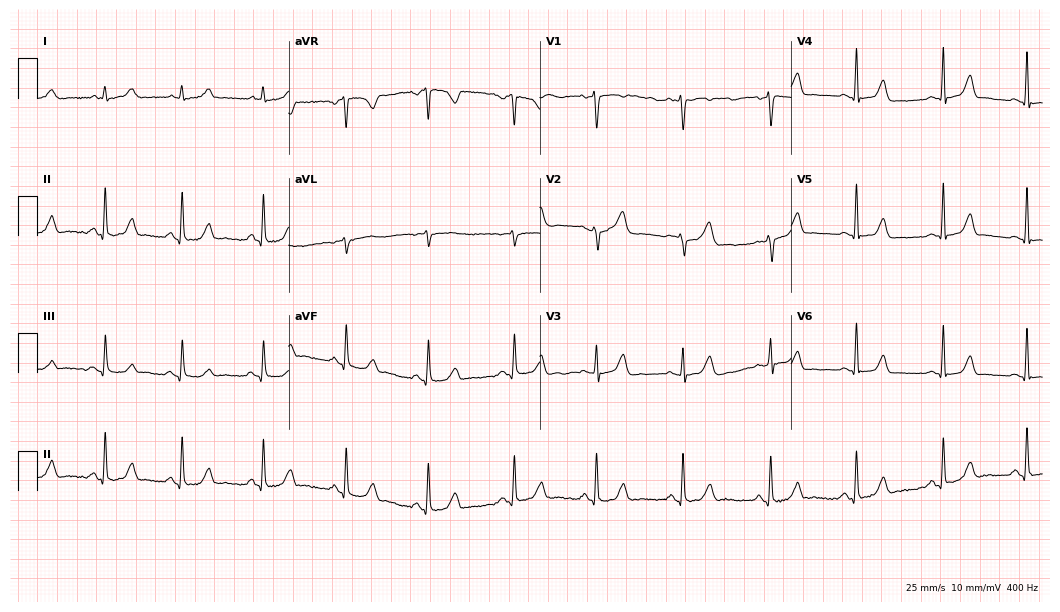
Electrocardiogram (10.2-second recording at 400 Hz), a 43-year-old female patient. Overall reading on record: normal ECG.